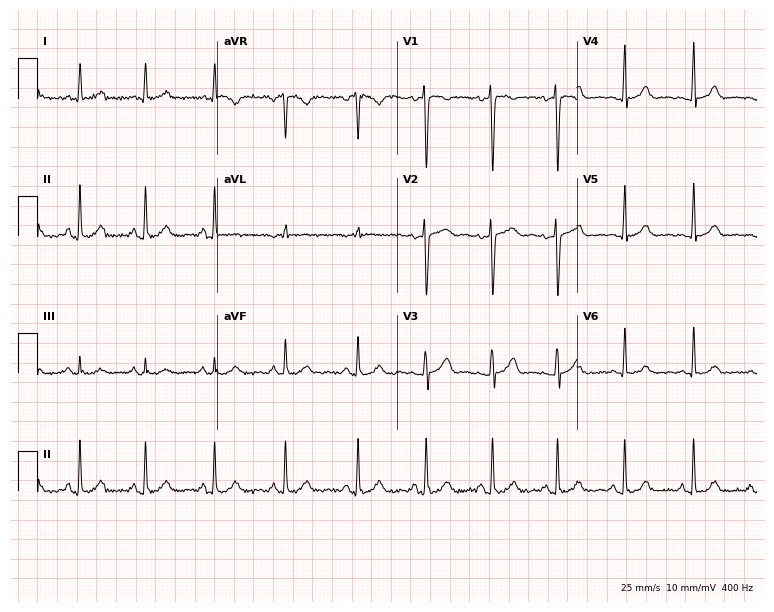
Electrocardiogram, a female patient, 57 years old. Overall reading on record: normal ECG.